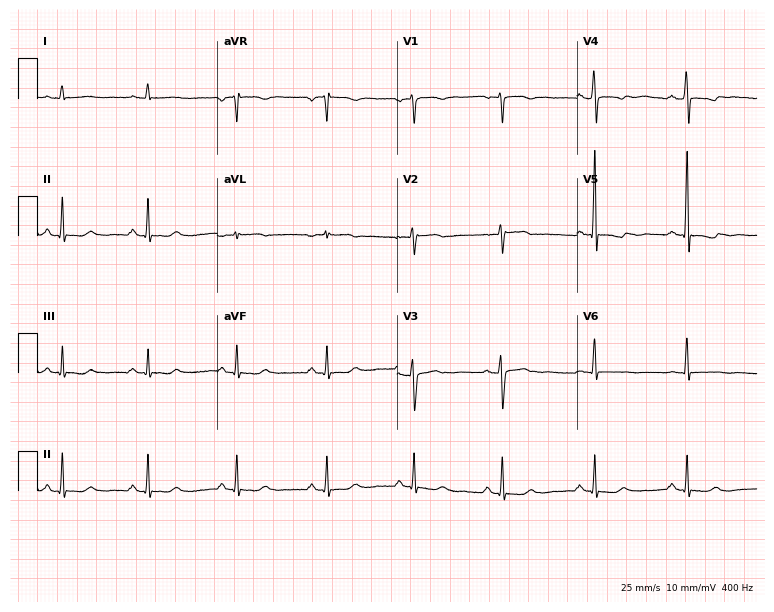
12-lead ECG from a woman, 54 years old. Screened for six findings — first-degree AV block, right bundle branch block (RBBB), left bundle branch block (LBBB), sinus bradycardia, atrial fibrillation (AF), sinus tachycardia — none is recorded.